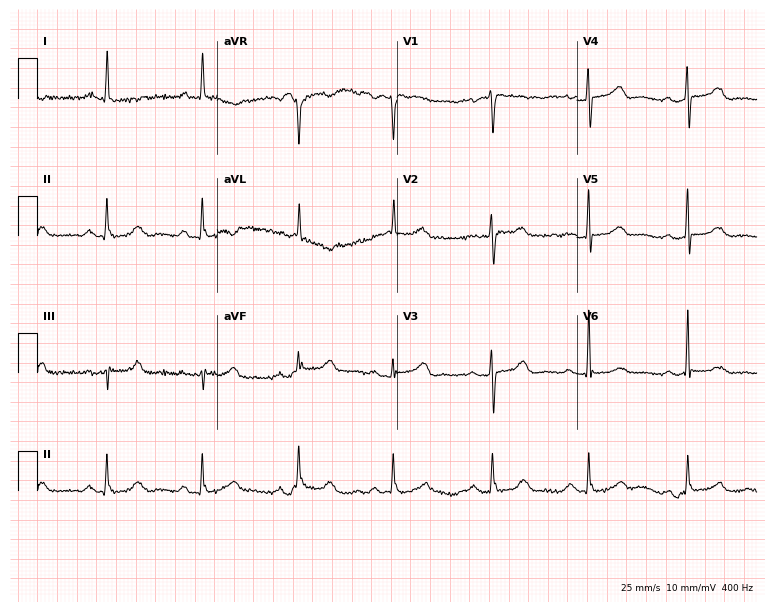
Standard 12-lead ECG recorded from a female patient, 76 years old. Read as a normal ECG.